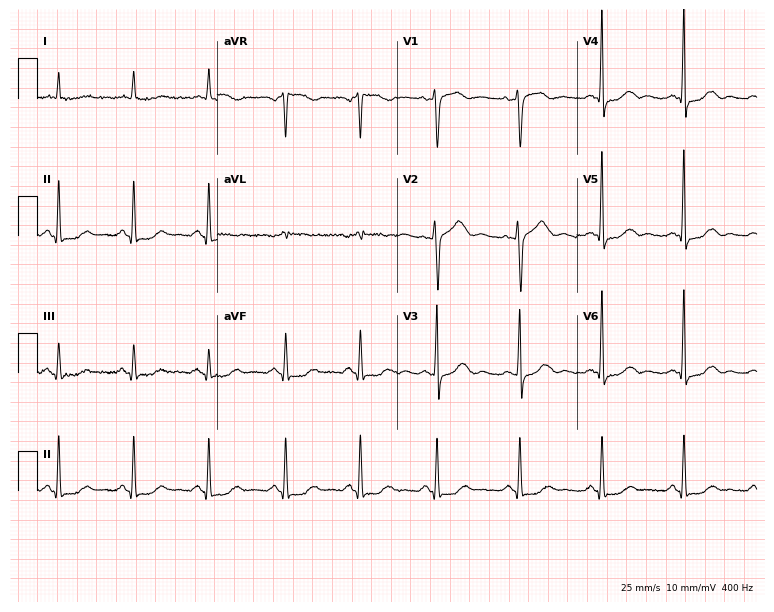
ECG — a 49-year-old female patient. Screened for six findings — first-degree AV block, right bundle branch block, left bundle branch block, sinus bradycardia, atrial fibrillation, sinus tachycardia — none is recorded. Findings outside these six are not listed.